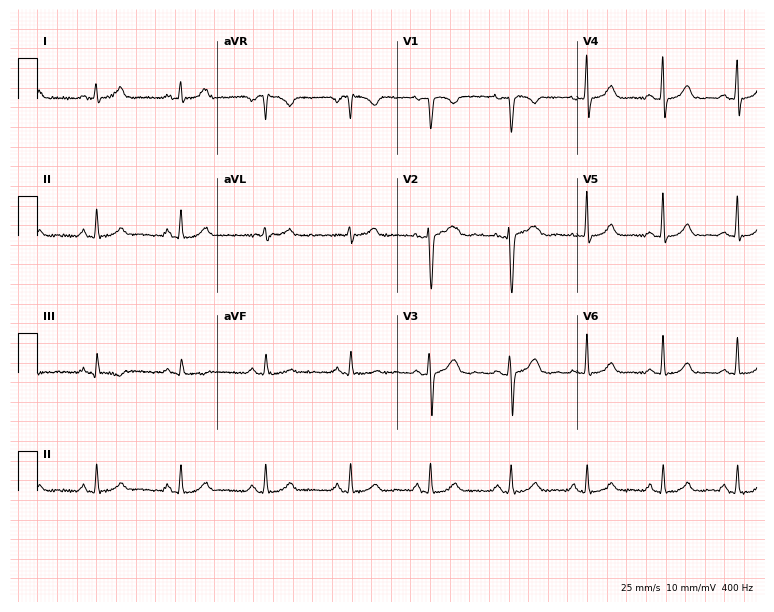
Electrocardiogram (7.3-second recording at 400 Hz), a female patient, 44 years old. Of the six screened findings (first-degree AV block, right bundle branch block, left bundle branch block, sinus bradycardia, atrial fibrillation, sinus tachycardia), none is recorded. Findings outside these six are not listed.